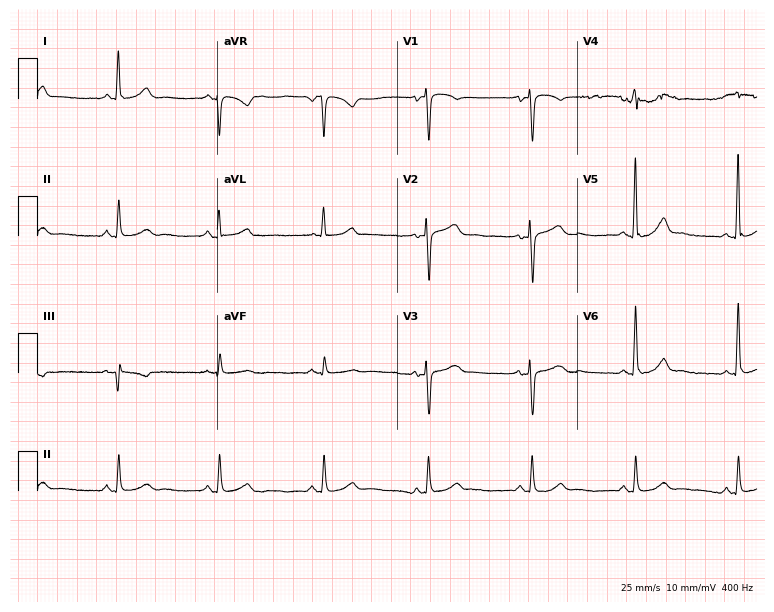
Electrocardiogram (7.3-second recording at 400 Hz), a female, 47 years old. Overall reading on record: normal ECG.